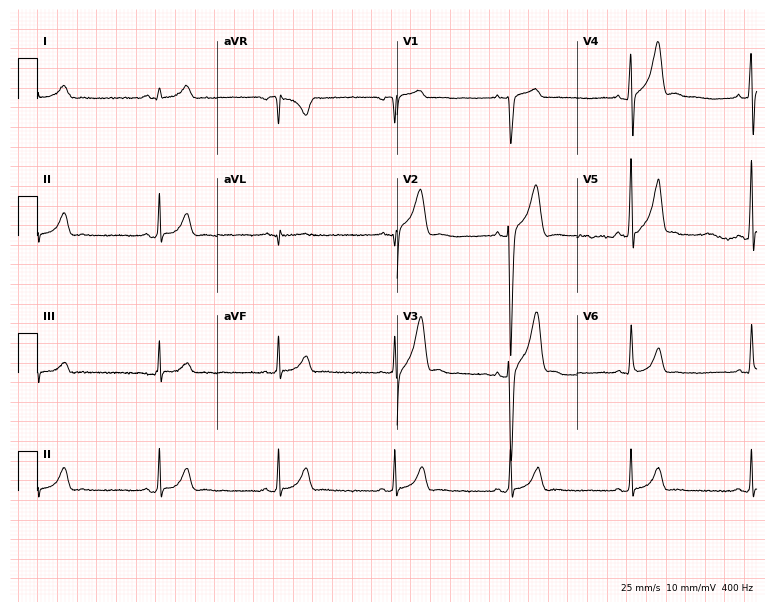
Resting 12-lead electrocardiogram (7.3-second recording at 400 Hz). Patient: a 40-year-old man. Read as a normal ECG.